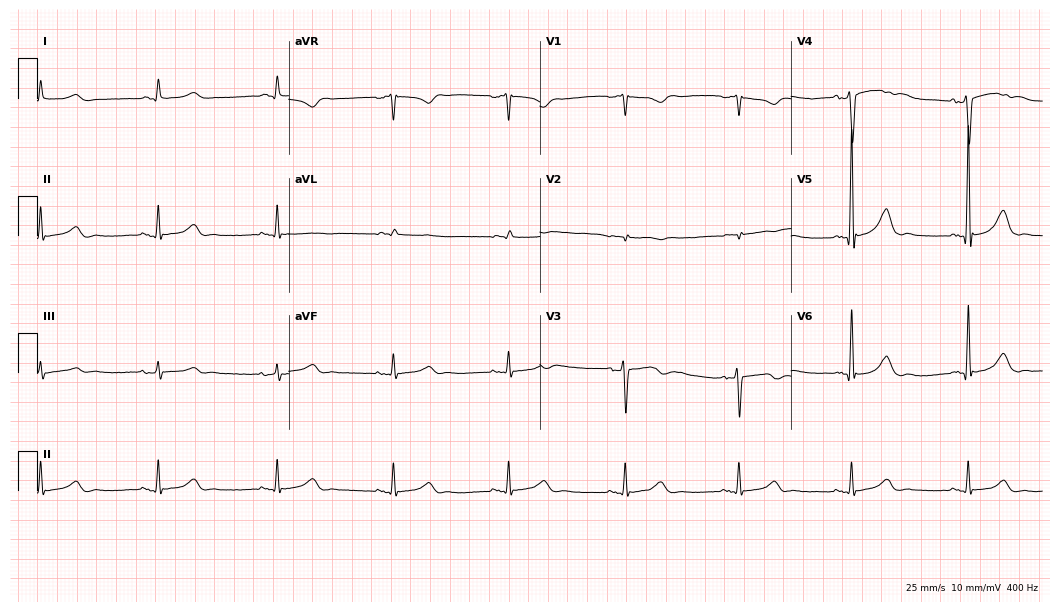
ECG (10.2-second recording at 400 Hz) — a male patient, 46 years old. Labelled as a normal ECG.